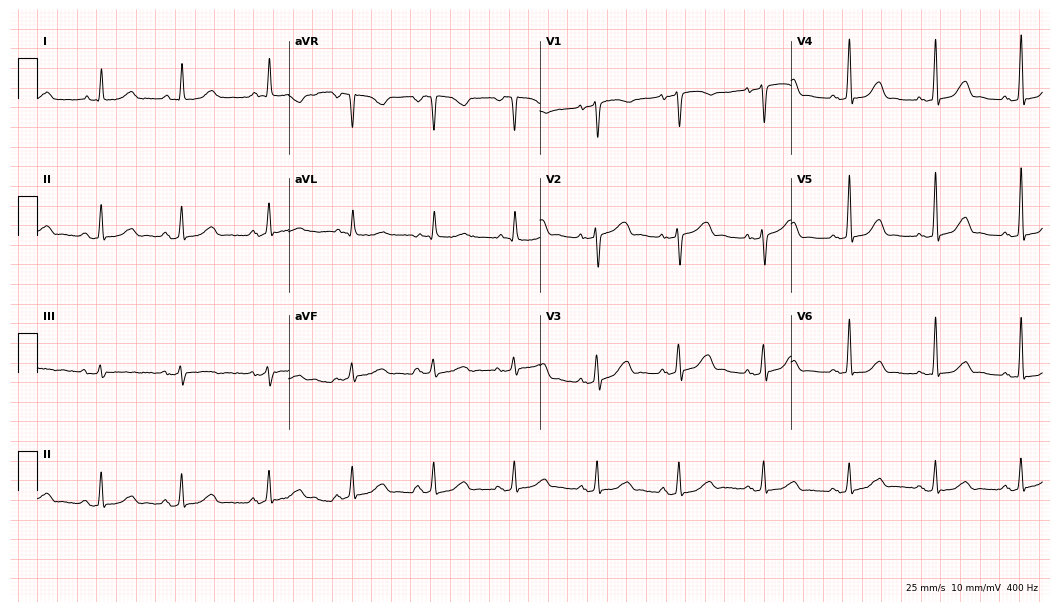
12-lead ECG from a female, 69 years old. Recorded interpretation: within normal limits.